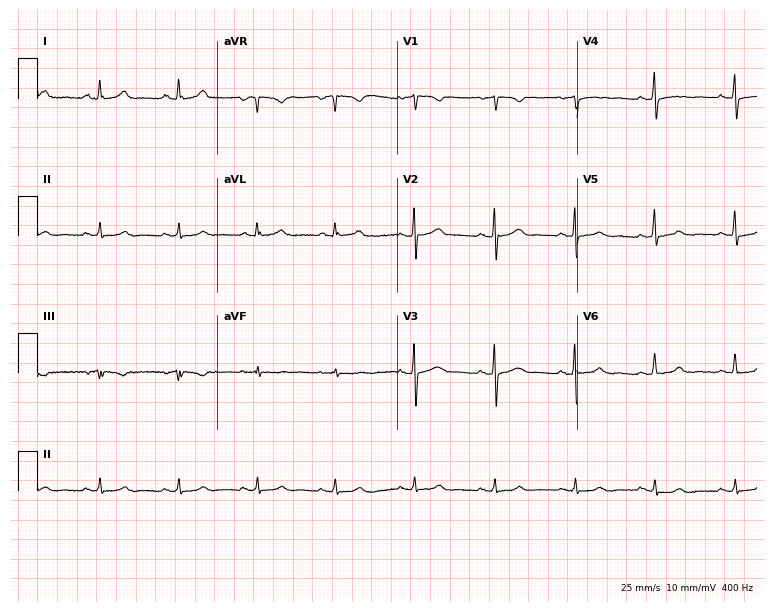
12-lead ECG from a 52-year-old female. No first-degree AV block, right bundle branch block, left bundle branch block, sinus bradycardia, atrial fibrillation or sinus tachycardia recorded for this tracing.